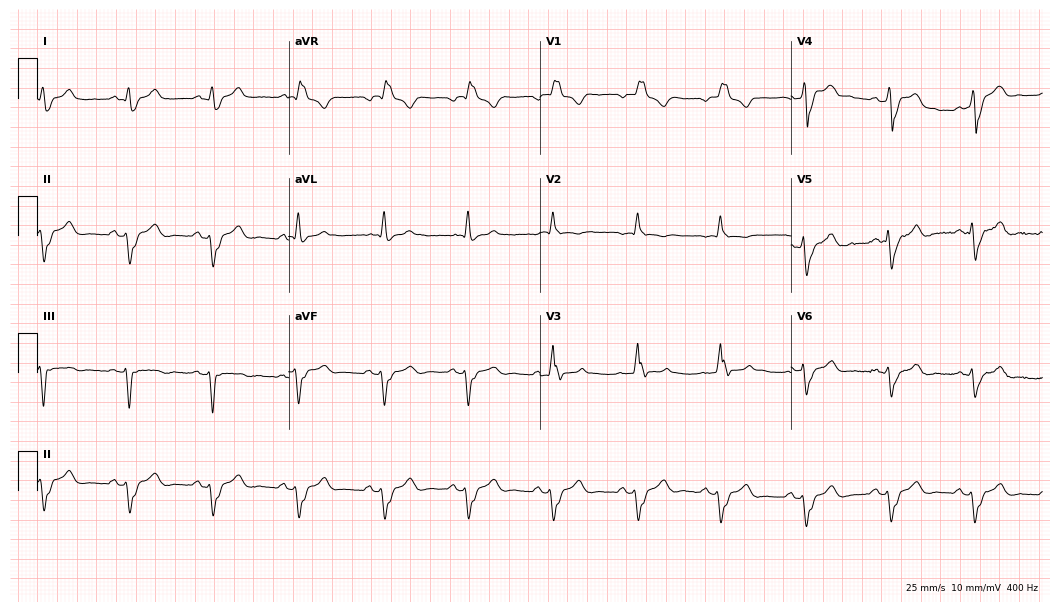
12-lead ECG from a 65-year-old man. Shows right bundle branch block.